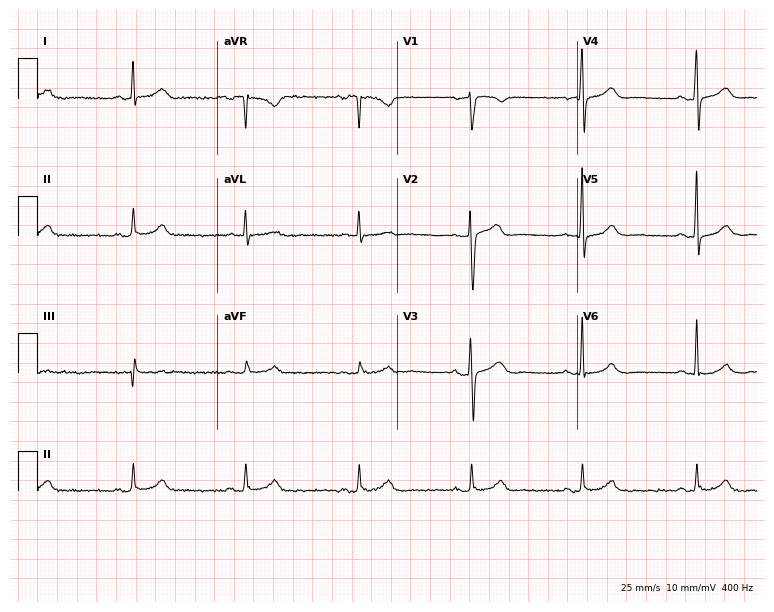
12-lead ECG from a man, 47 years old. Recorded interpretation: within normal limits.